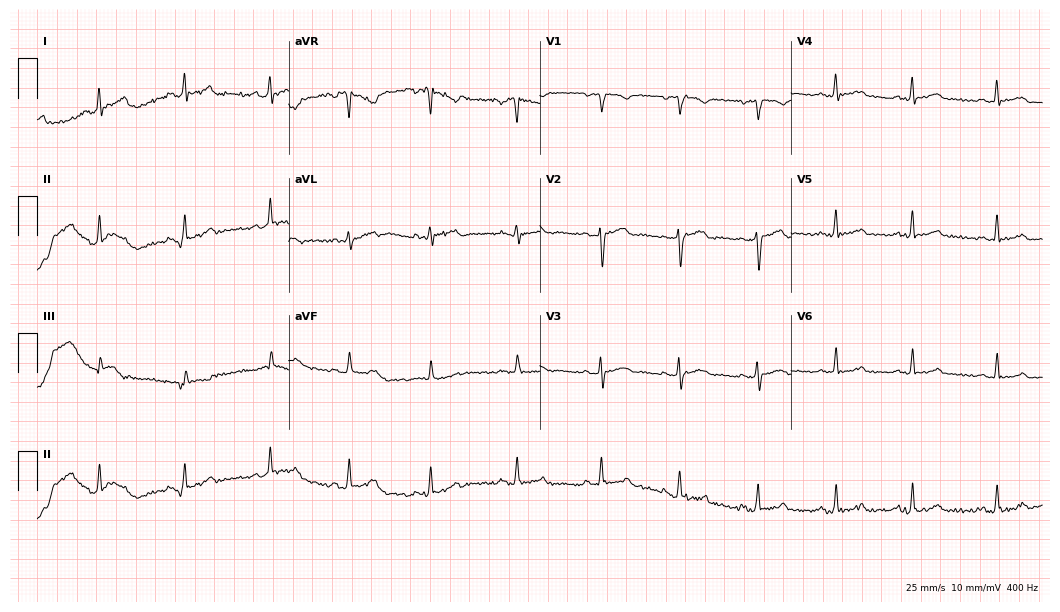
ECG (10.2-second recording at 400 Hz) — a 23-year-old woman. Screened for six findings — first-degree AV block, right bundle branch block, left bundle branch block, sinus bradycardia, atrial fibrillation, sinus tachycardia — none is recorded.